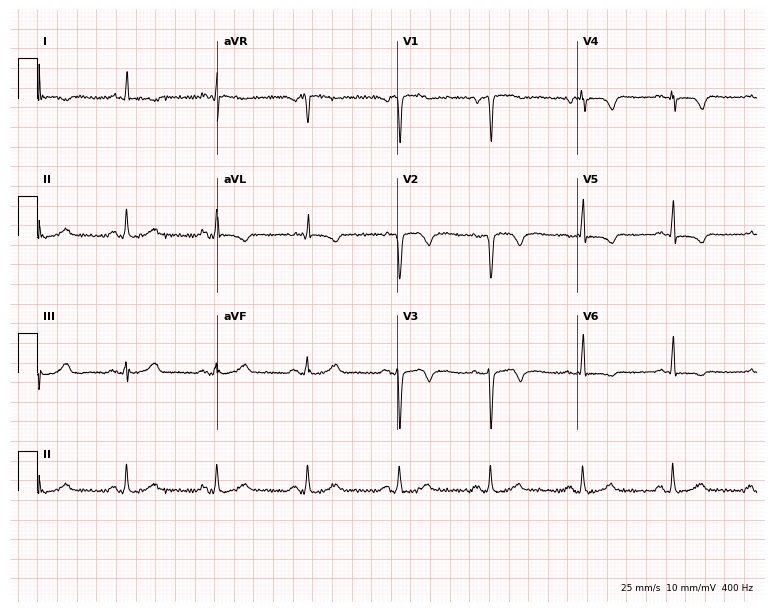
12-lead ECG from a male patient, 65 years old. No first-degree AV block, right bundle branch block, left bundle branch block, sinus bradycardia, atrial fibrillation or sinus tachycardia recorded for this tracing.